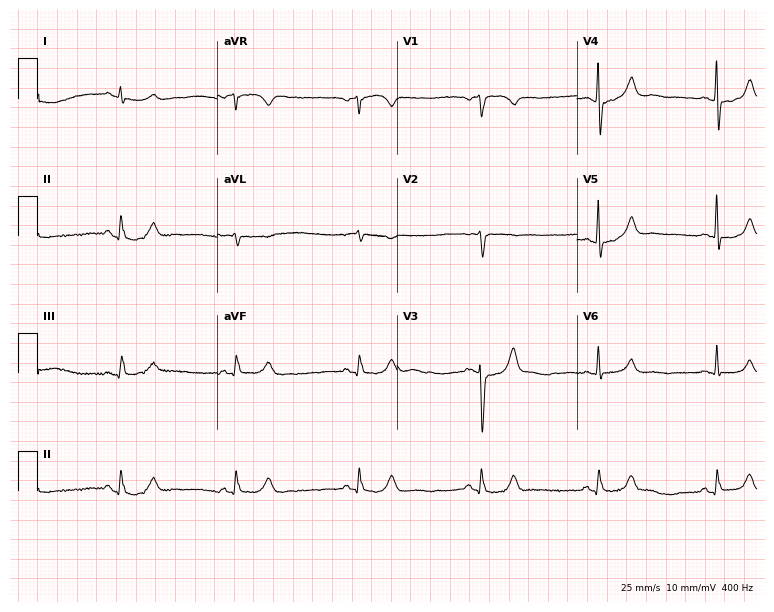
Resting 12-lead electrocardiogram (7.3-second recording at 400 Hz). Patient: a 53-year-old man. The tracing shows sinus bradycardia (a sinus rate of 50 beats per minute or less).